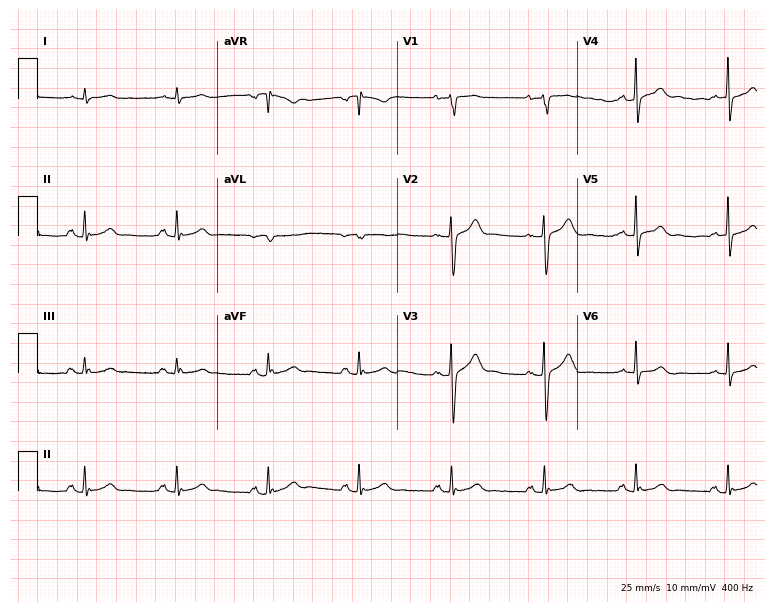
12-lead ECG from a man, 69 years old (7.3-second recording at 400 Hz). Recorded interpretation: within normal limits.